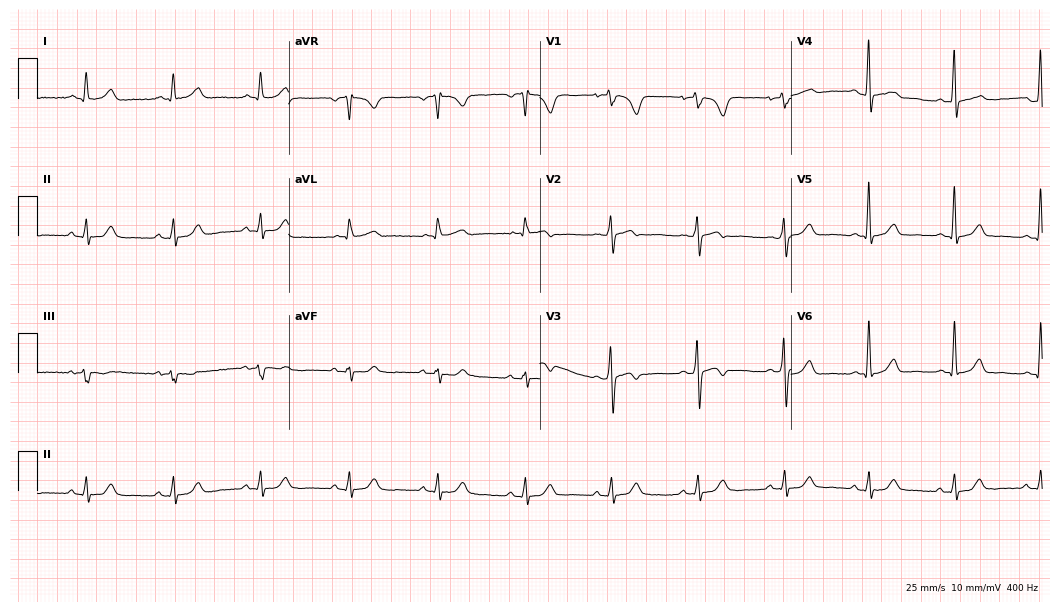
Electrocardiogram, a male patient, 53 years old. Overall reading on record: normal ECG.